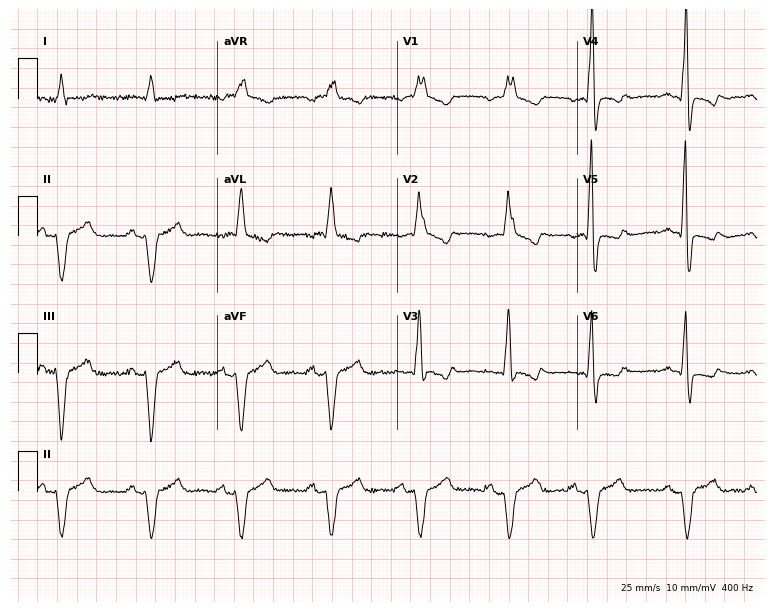
Electrocardiogram (7.3-second recording at 400 Hz), a 67-year-old man. Interpretation includes right bundle branch block (RBBB).